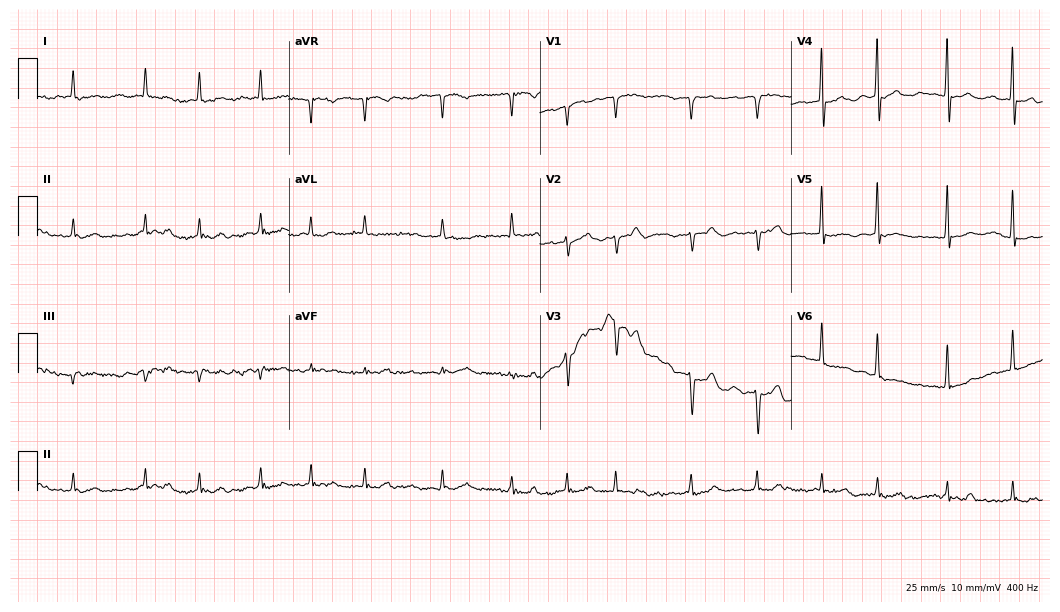
12-lead ECG (10.2-second recording at 400 Hz) from a female patient, 76 years old. Findings include atrial fibrillation.